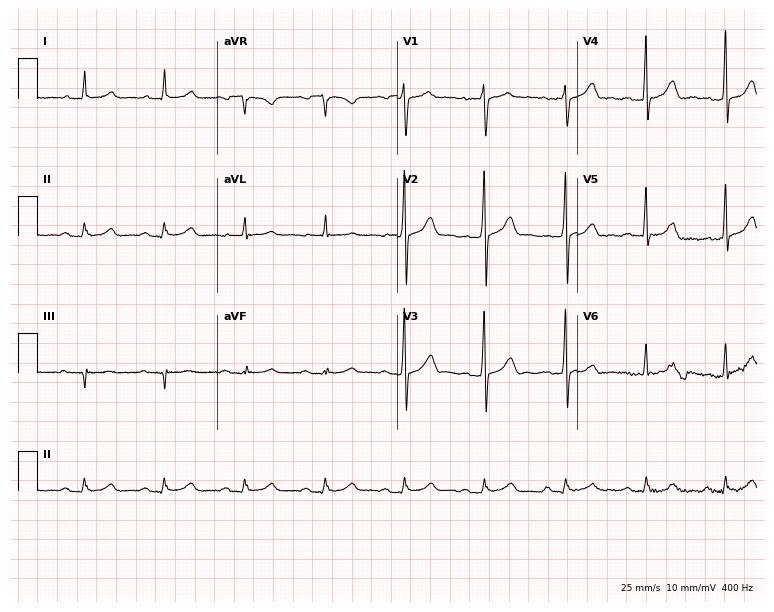
Electrocardiogram, a male, 55 years old. Overall reading on record: normal ECG.